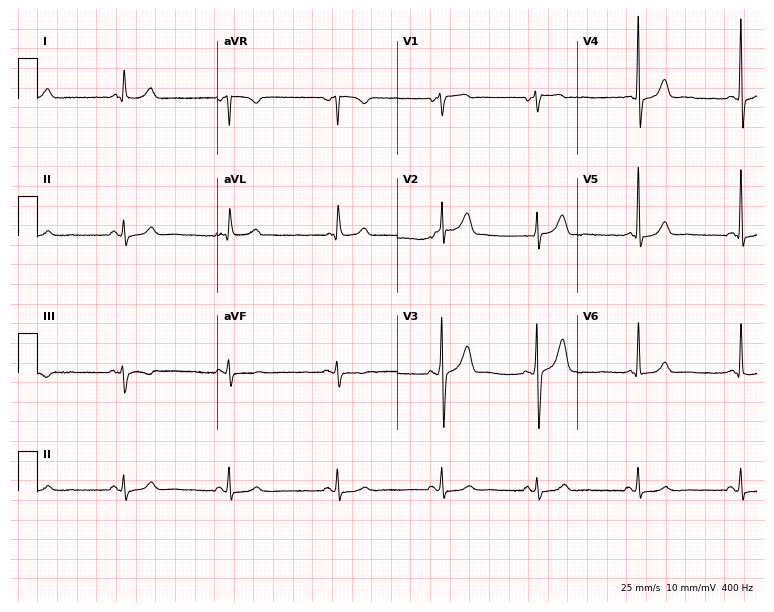
Electrocardiogram, a 64-year-old male. Overall reading on record: normal ECG.